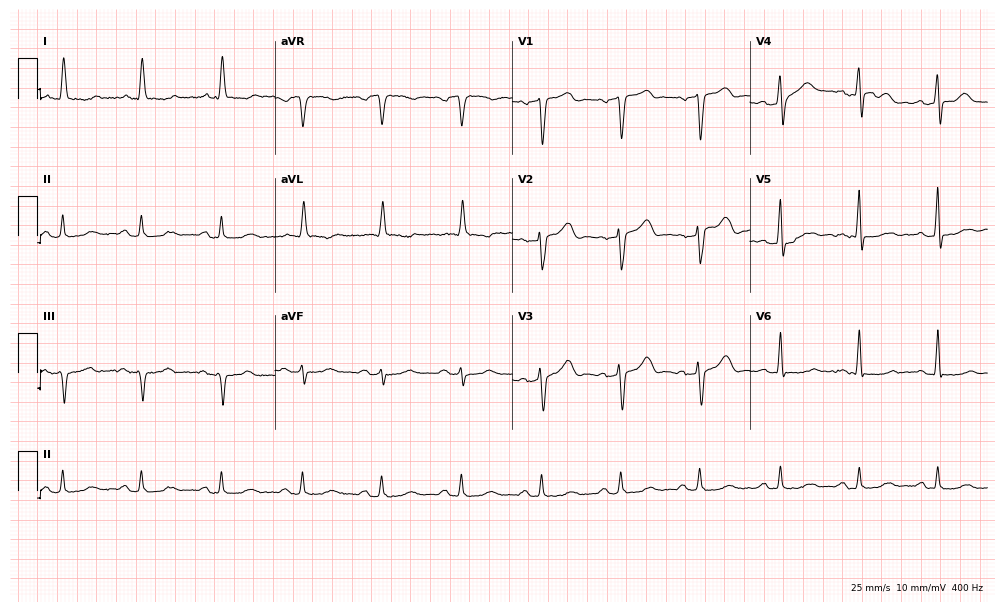
12-lead ECG from an 80-year-old male (9.7-second recording at 400 Hz). No first-degree AV block, right bundle branch block, left bundle branch block, sinus bradycardia, atrial fibrillation or sinus tachycardia recorded for this tracing.